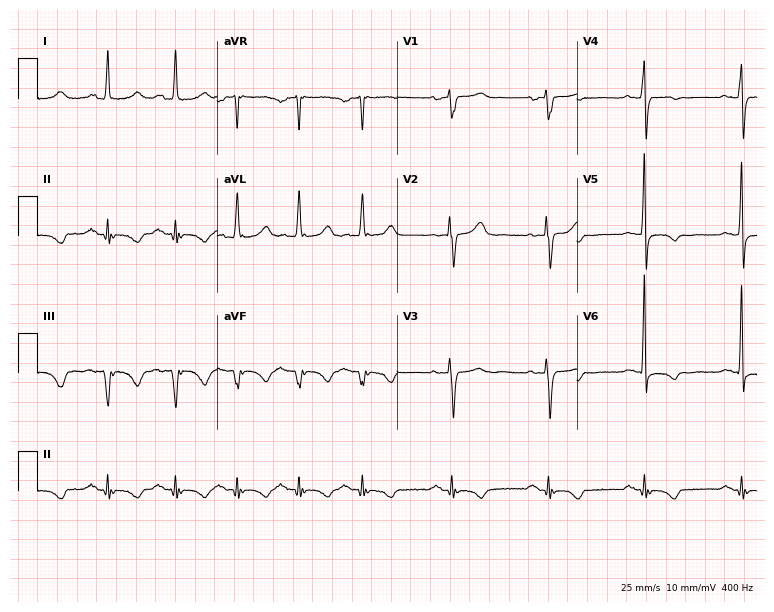
12-lead ECG (7.3-second recording at 400 Hz) from an 85-year-old female patient. Screened for six findings — first-degree AV block, right bundle branch block, left bundle branch block, sinus bradycardia, atrial fibrillation, sinus tachycardia — none is recorded. Other findings, if any, are not listed.